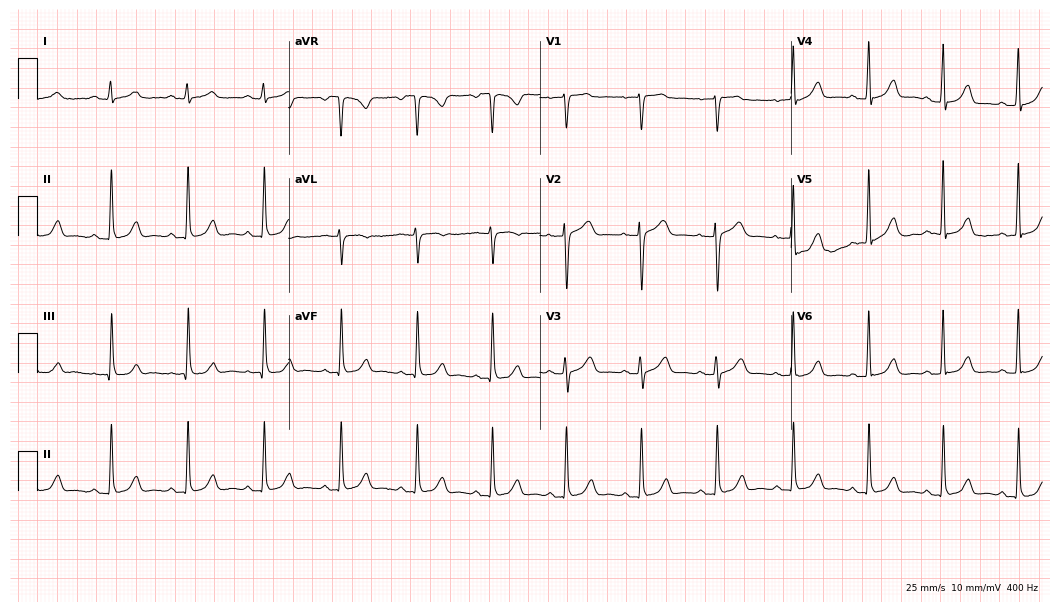
ECG — a 56-year-old female patient. Labelled as a normal ECG.